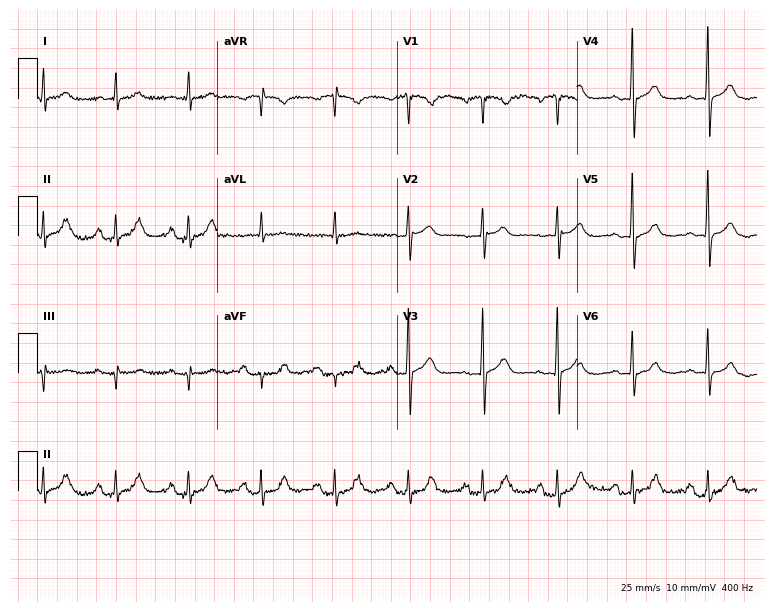
Standard 12-lead ECG recorded from an 80-year-old male. None of these six findings is recorded: first-degree AV block, right bundle branch block (RBBB), left bundle branch block (LBBB), sinus bradycardia, atrial fibrillation (AF), sinus tachycardia.